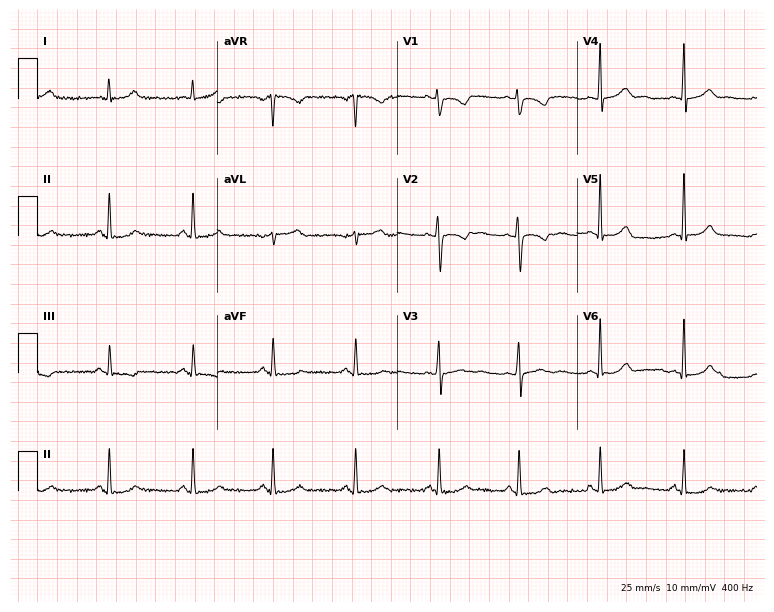
Standard 12-lead ECG recorded from a woman, 24 years old (7.3-second recording at 400 Hz). None of these six findings is recorded: first-degree AV block, right bundle branch block (RBBB), left bundle branch block (LBBB), sinus bradycardia, atrial fibrillation (AF), sinus tachycardia.